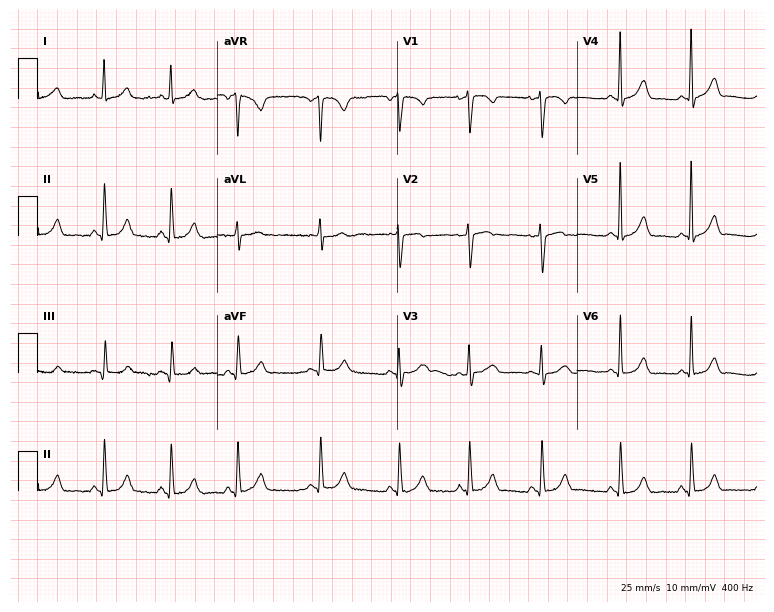
12-lead ECG from a 28-year-old female patient (7.3-second recording at 400 Hz). Recorded interpretation: within normal limits.